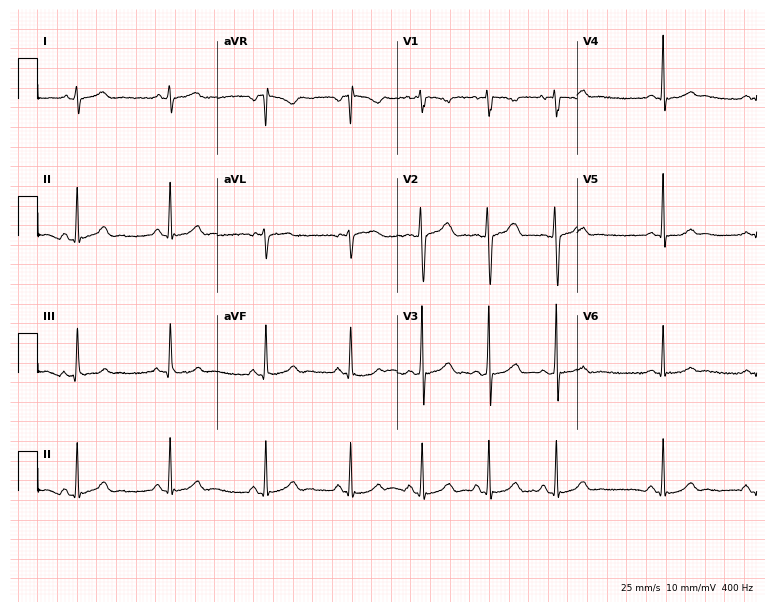
Standard 12-lead ECG recorded from a 17-year-old female. None of these six findings is recorded: first-degree AV block, right bundle branch block, left bundle branch block, sinus bradycardia, atrial fibrillation, sinus tachycardia.